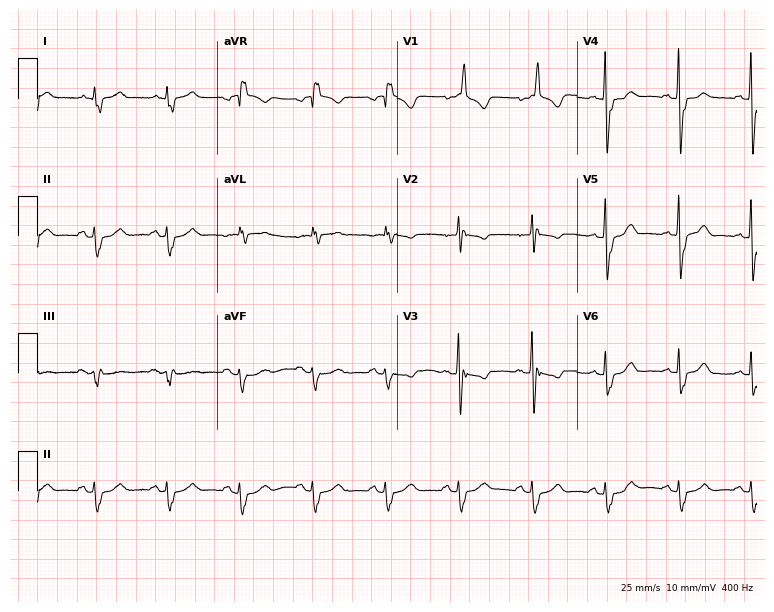
Standard 12-lead ECG recorded from a male, 80 years old (7.3-second recording at 400 Hz). The tracing shows right bundle branch block.